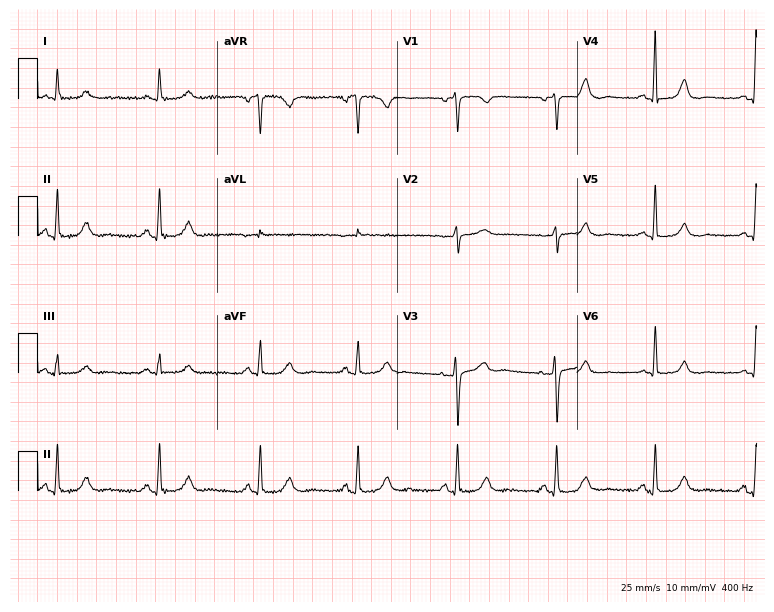
Resting 12-lead electrocardiogram (7.3-second recording at 400 Hz). Patient: a 69-year-old female. Read as a normal ECG.